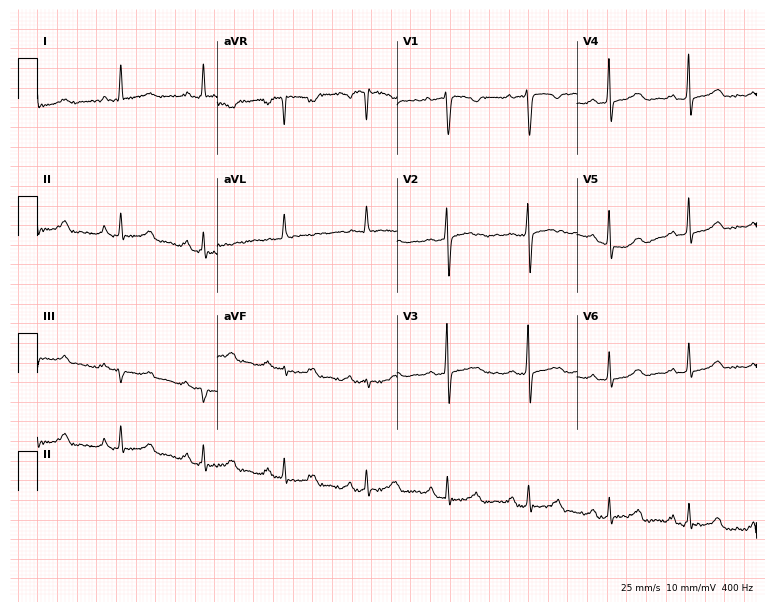
Standard 12-lead ECG recorded from a 74-year-old female patient (7.3-second recording at 400 Hz). None of these six findings is recorded: first-degree AV block, right bundle branch block, left bundle branch block, sinus bradycardia, atrial fibrillation, sinus tachycardia. Other findings, if any, are not listed.